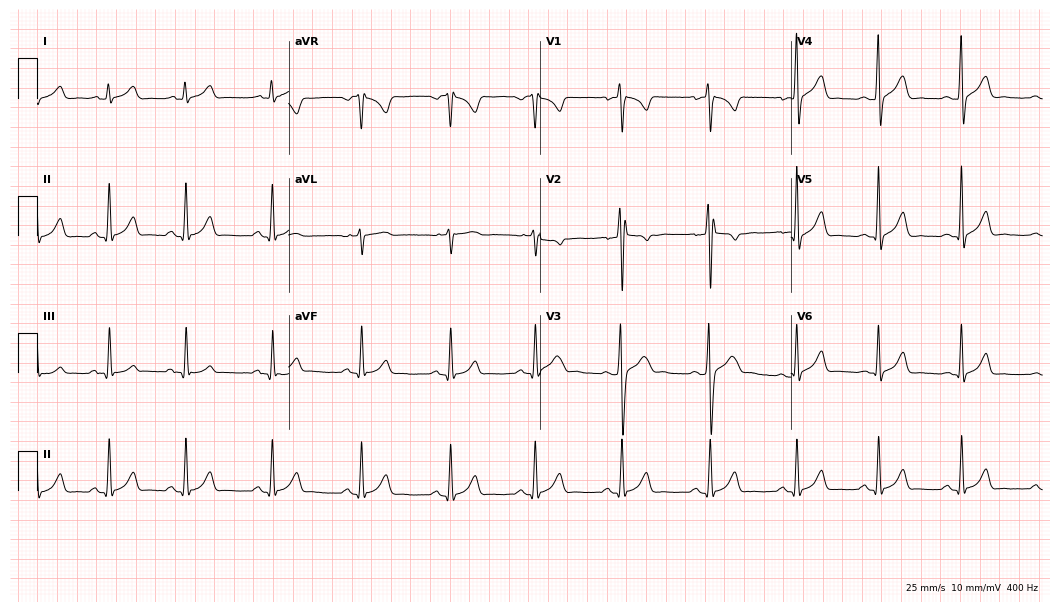
Resting 12-lead electrocardiogram (10.2-second recording at 400 Hz). Patient: a 21-year-old man. None of these six findings is recorded: first-degree AV block, right bundle branch block, left bundle branch block, sinus bradycardia, atrial fibrillation, sinus tachycardia. Other findings, if any, are not listed.